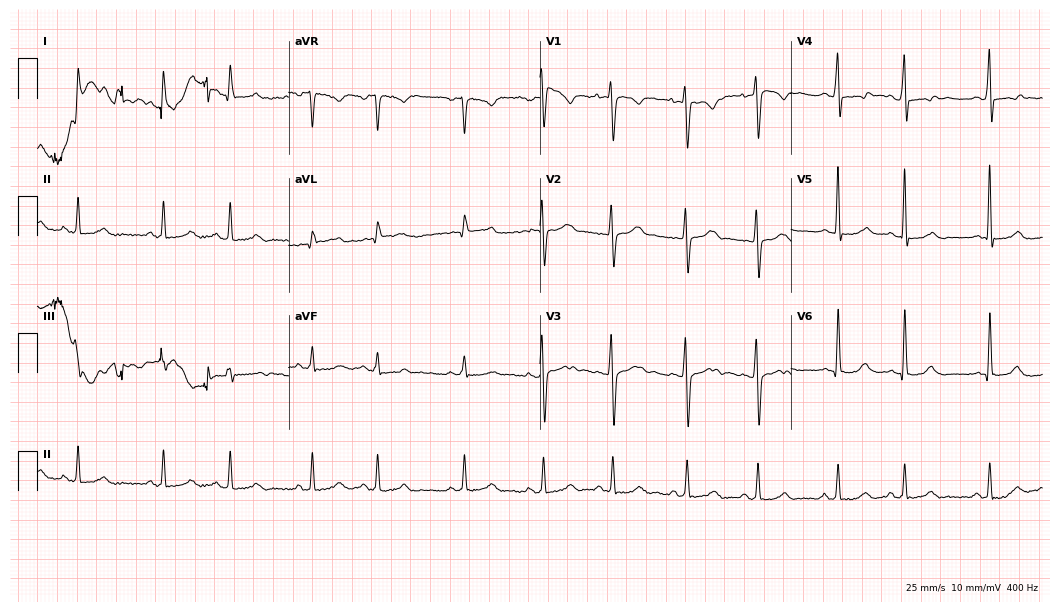
12-lead ECG from a male, 49 years old. No first-degree AV block, right bundle branch block, left bundle branch block, sinus bradycardia, atrial fibrillation or sinus tachycardia recorded for this tracing. Only these six findings were labelled.